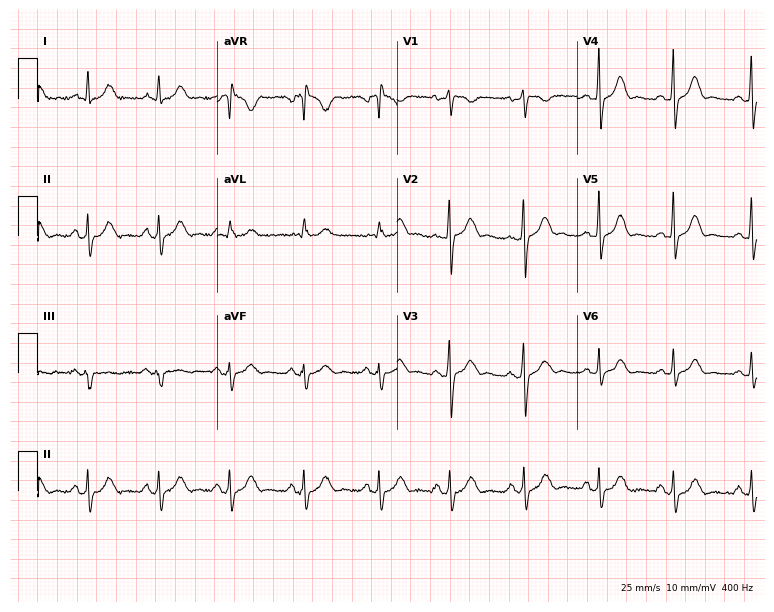
ECG (7.3-second recording at 400 Hz) — a female patient, 32 years old. Labelled as a normal ECG.